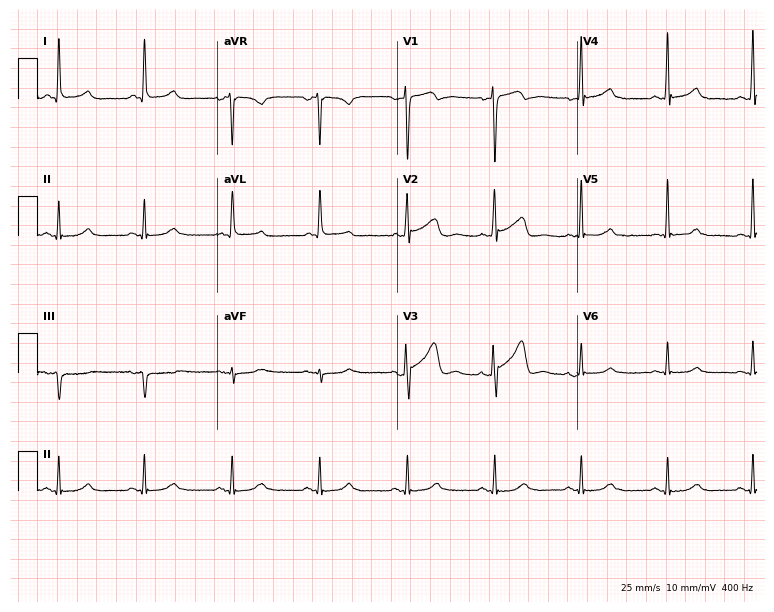
Standard 12-lead ECG recorded from a man, 57 years old. Read as a normal ECG.